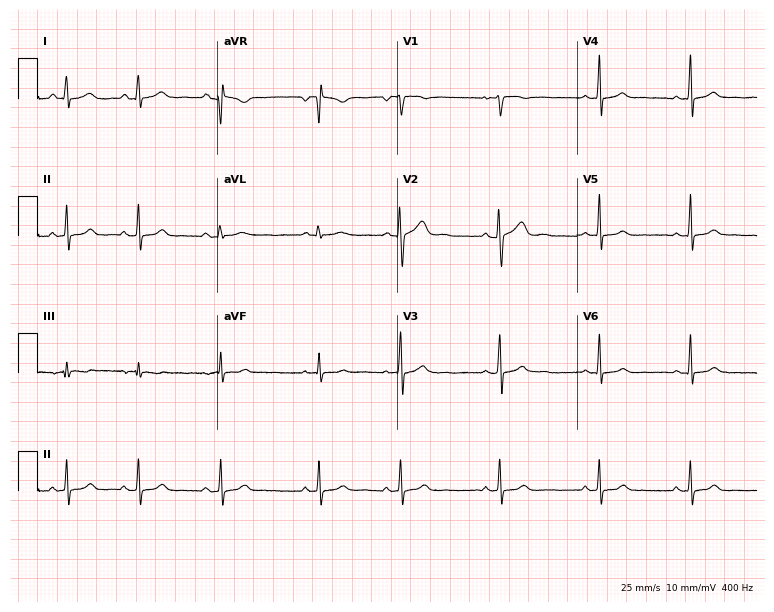
Standard 12-lead ECG recorded from an 18-year-old female patient (7.3-second recording at 400 Hz). Read as a normal ECG.